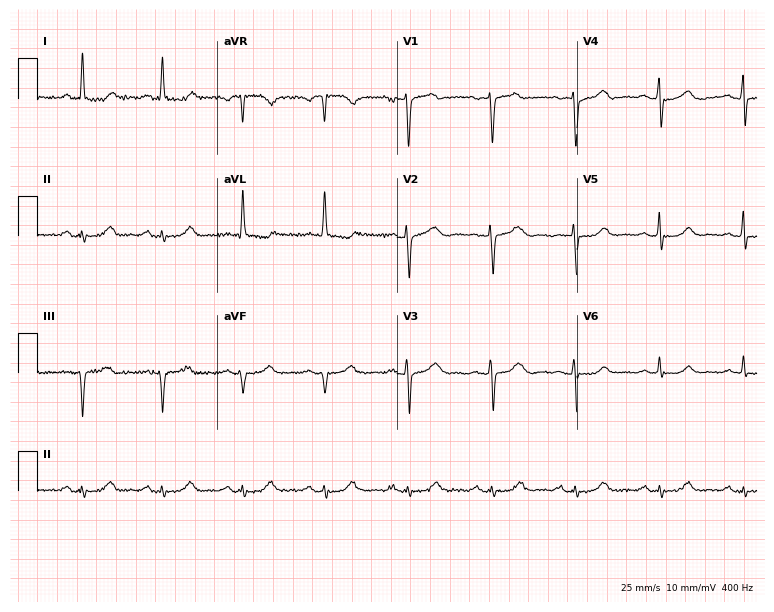
Standard 12-lead ECG recorded from a 57-year-old female. Read as a normal ECG.